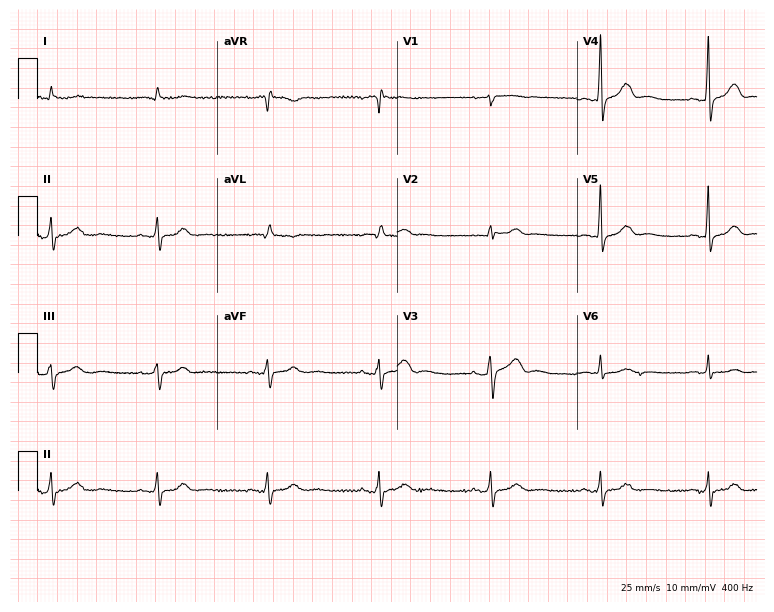
12-lead ECG from a female, 55 years old. No first-degree AV block, right bundle branch block, left bundle branch block, sinus bradycardia, atrial fibrillation or sinus tachycardia recorded for this tracing. Only these six findings were labelled.